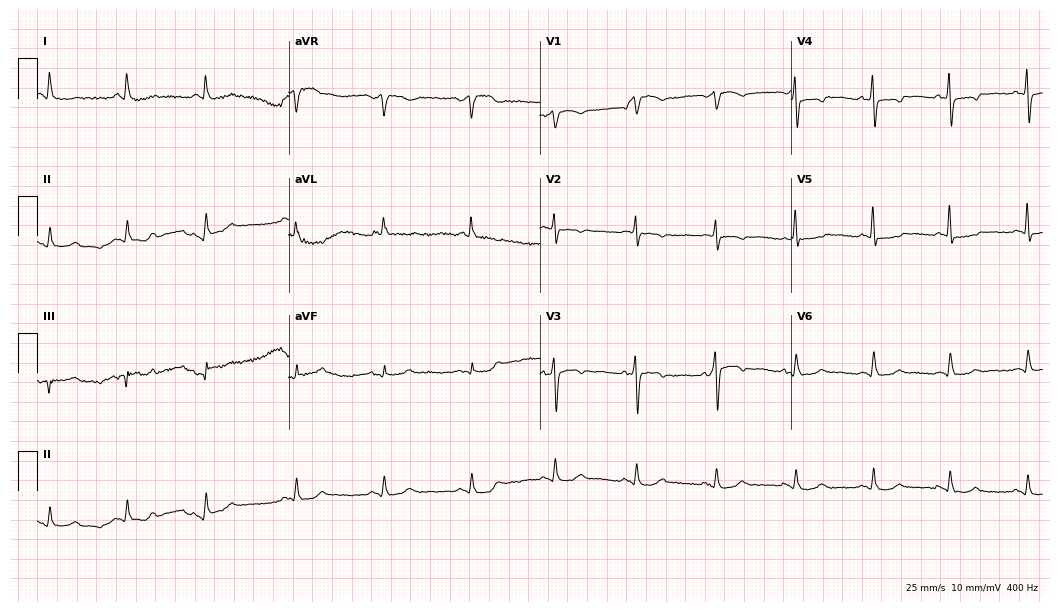
Resting 12-lead electrocardiogram. Patient: a 72-year-old female. None of these six findings is recorded: first-degree AV block, right bundle branch block, left bundle branch block, sinus bradycardia, atrial fibrillation, sinus tachycardia.